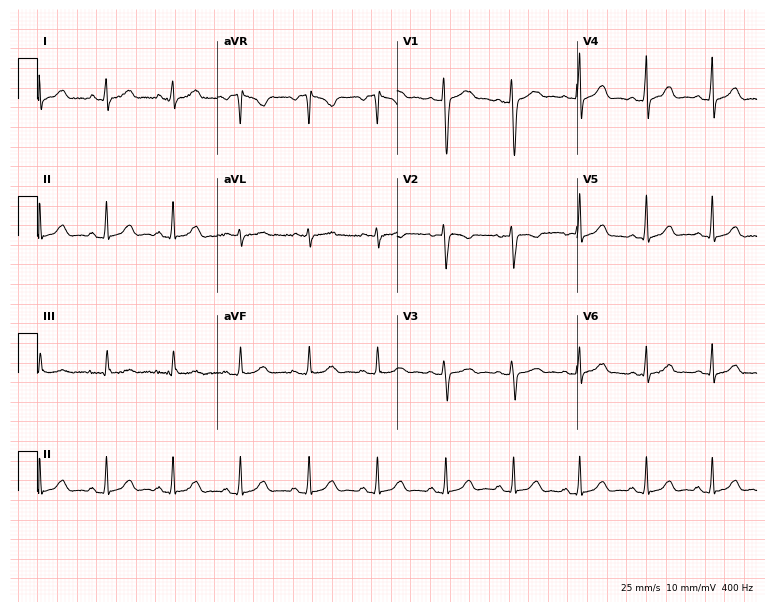
12-lead ECG (7.3-second recording at 400 Hz) from a female, 32 years old. Labelled as a normal ECG.